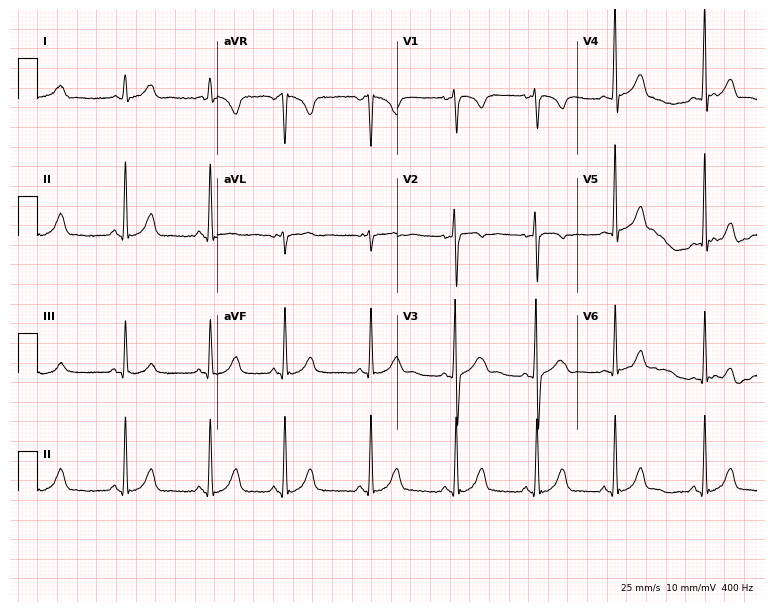
Standard 12-lead ECG recorded from an 18-year-old female patient. None of these six findings is recorded: first-degree AV block, right bundle branch block (RBBB), left bundle branch block (LBBB), sinus bradycardia, atrial fibrillation (AF), sinus tachycardia.